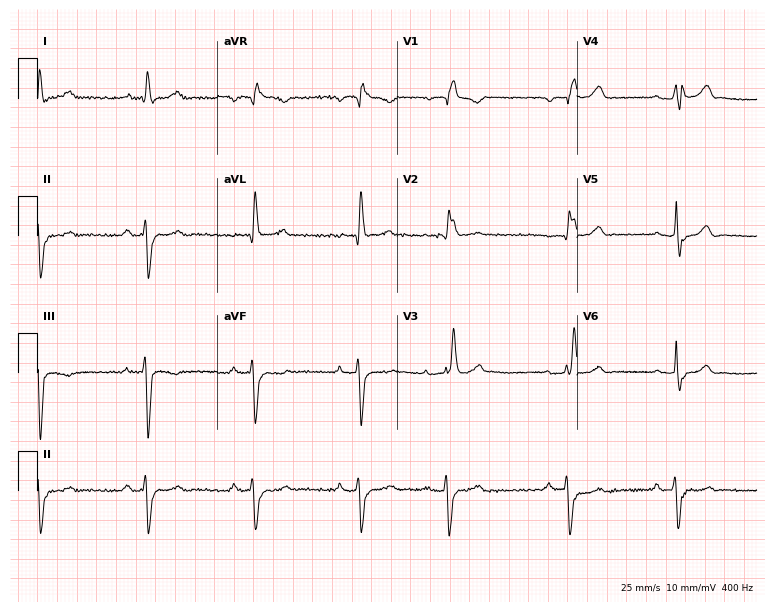
12-lead ECG (7.3-second recording at 400 Hz) from an 86-year-old male. Findings include right bundle branch block.